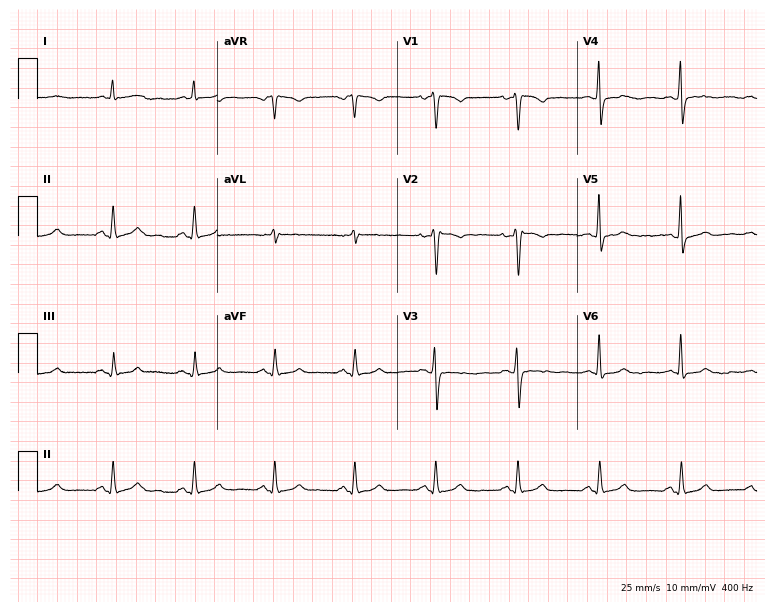
12-lead ECG from a female, 57 years old (7.3-second recording at 400 Hz). No first-degree AV block, right bundle branch block, left bundle branch block, sinus bradycardia, atrial fibrillation or sinus tachycardia recorded for this tracing. Other findings, if any, are not listed.